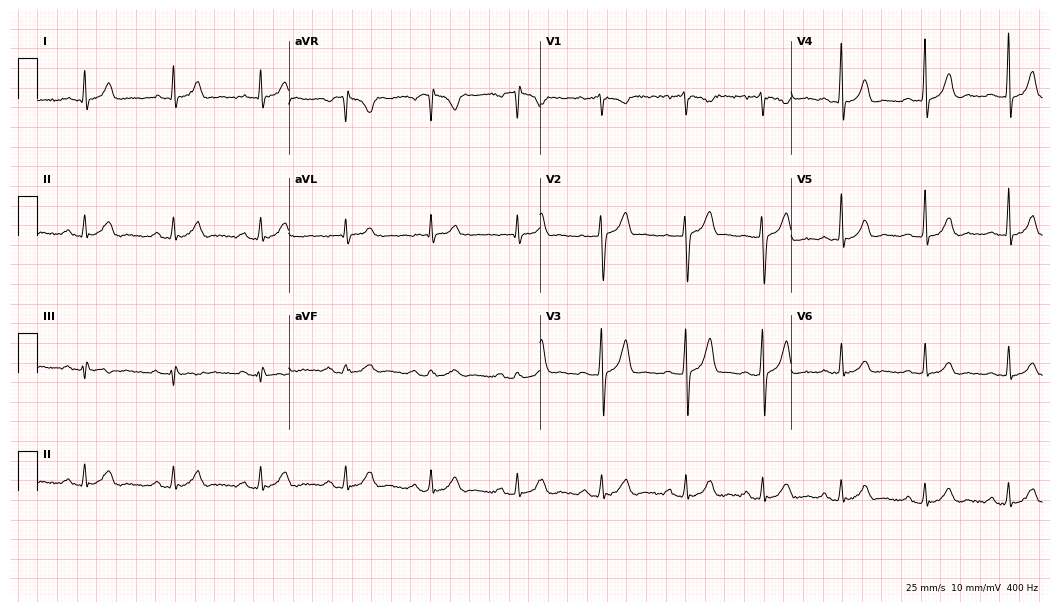
Electrocardiogram (10.2-second recording at 400 Hz), a male, 30 years old. Overall reading on record: normal ECG.